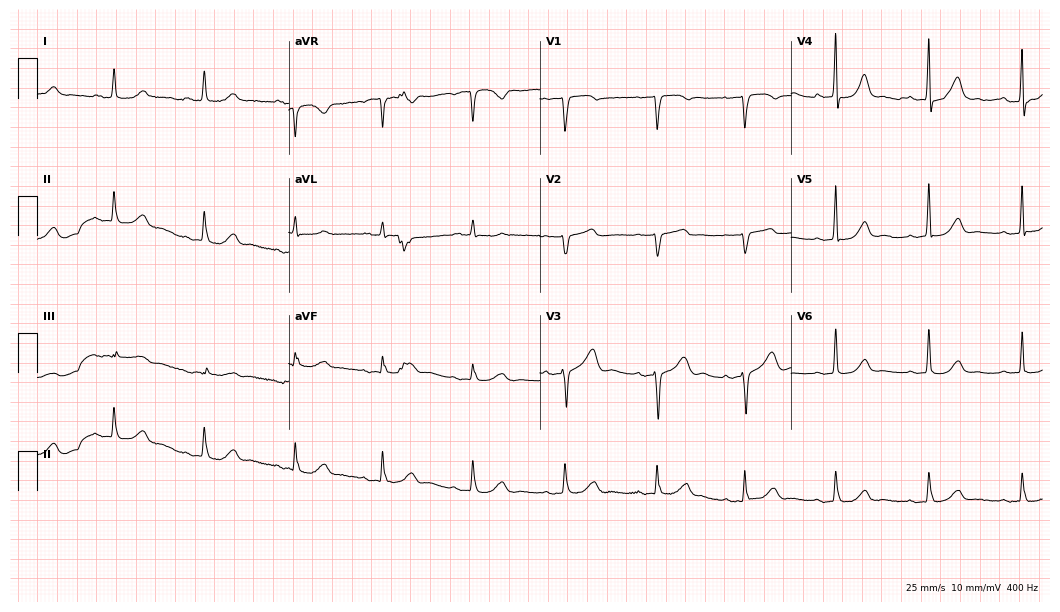
Electrocardiogram (10.2-second recording at 400 Hz), a 77-year-old female patient. Of the six screened findings (first-degree AV block, right bundle branch block (RBBB), left bundle branch block (LBBB), sinus bradycardia, atrial fibrillation (AF), sinus tachycardia), none is recorded.